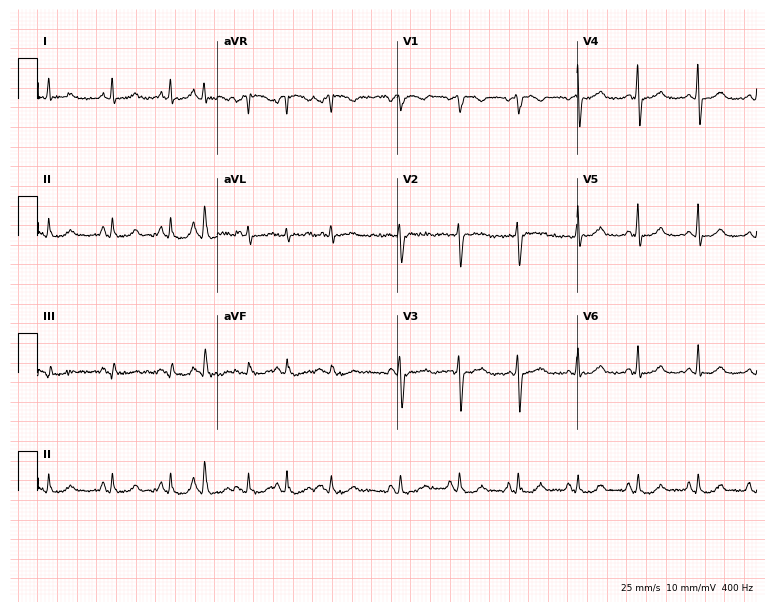
12-lead ECG from a man, 68 years old. Screened for six findings — first-degree AV block, right bundle branch block, left bundle branch block, sinus bradycardia, atrial fibrillation, sinus tachycardia — none is recorded.